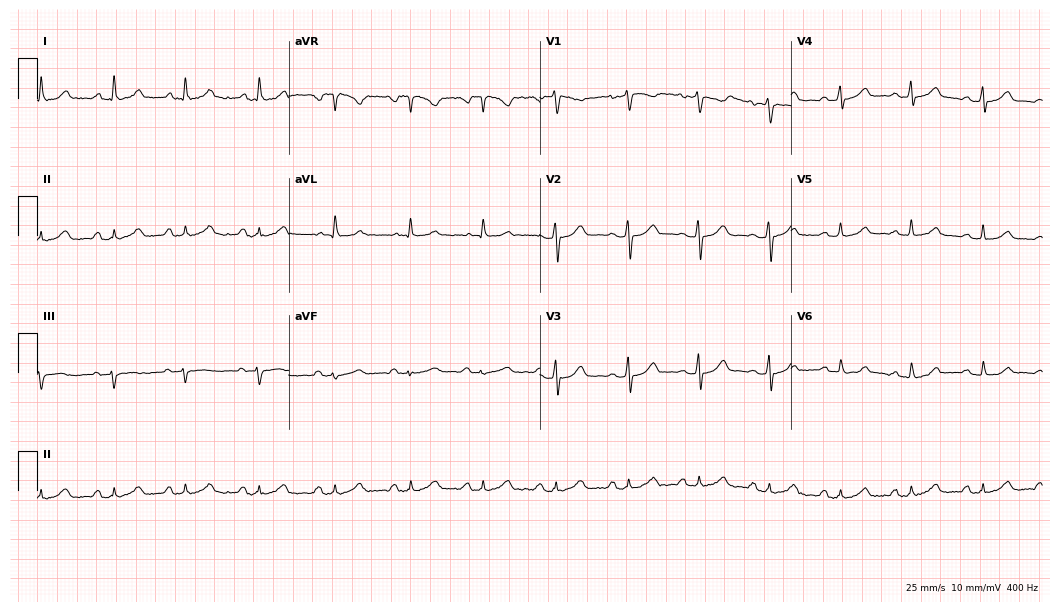
ECG (10.2-second recording at 400 Hz) — a 32-year-old female patient. Labelled as a normal ECG.